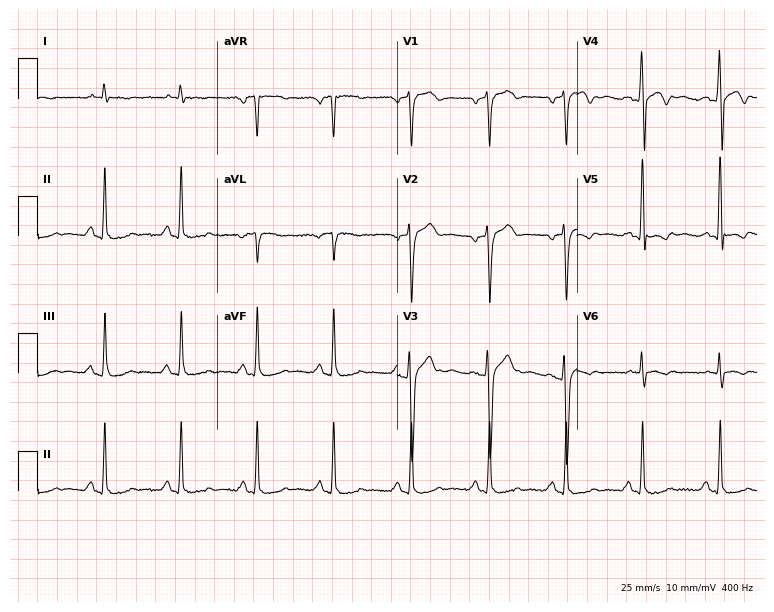
Electrocardiogram, a man, 45 years old. Of the six screened findings (first-degree AV block, right bundle branch block, left bundle branch block, sinus bradycardia, atrial fibrillation, sinus tachycardia), none is recorded. Findings outside these six are not listed.